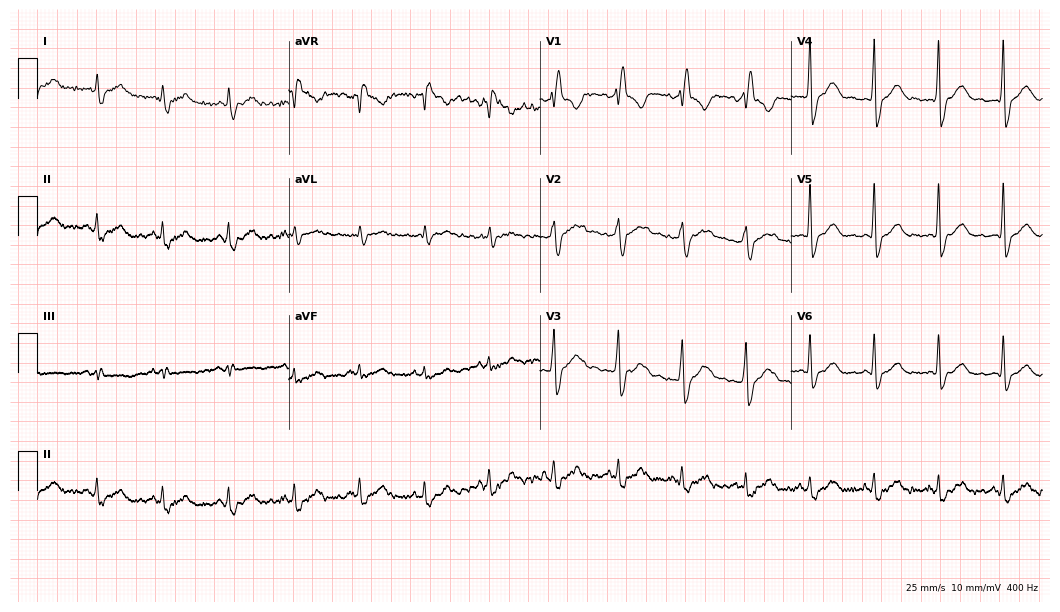
ECG (10.2-second recording at 400 Hz) — a male patient, 40 years old. Findings include right bundle branch block.